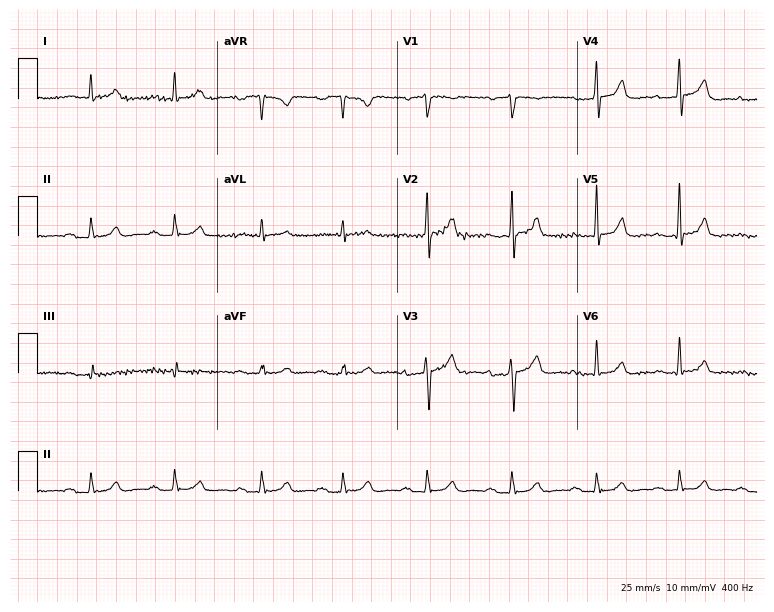
ECG (7.3-second recording at 400 Hz) — a 75-year-old male. Labelled as a normal ECG.